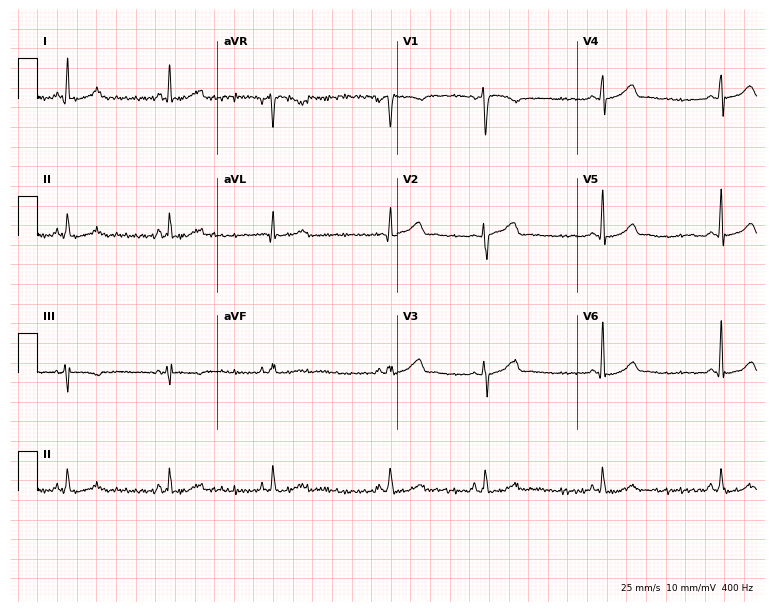
Resting 12-lead electrocardiogram (7.3-second recording at 400 Hz). Patient: a woman, 35 years old. None of these six findings is recorded: first-degree AV block, right bundle branch block, left bundle branch block, sinus bradycardia, atrial fibrillation, sinus tachycardia. Other findings, if any, are not listed.